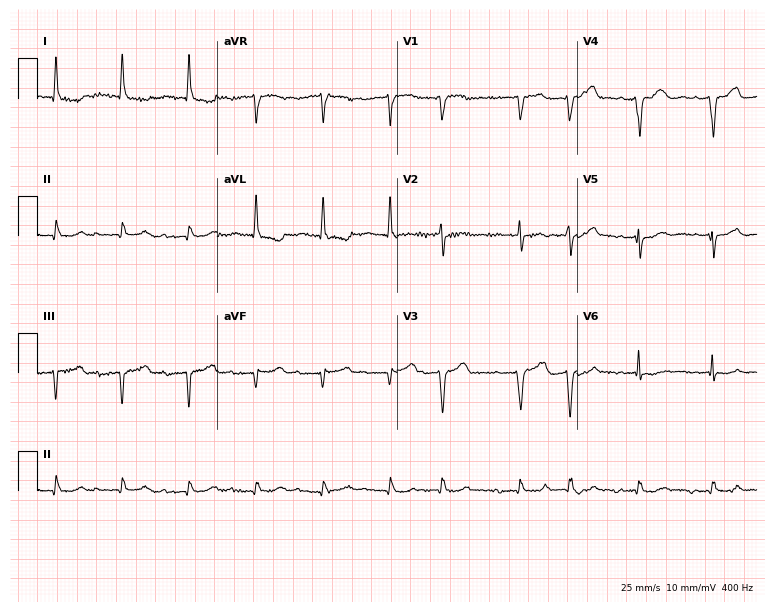
Standard 12-lead ECG recorded from an 81-year-old female. None of these six findings is recorded: first-degree AV block, right bundle branch block, left bundle branch block, sinus bradycardia, atrial fibrillation, sinus tachycardia. Only these six findings were labelled.